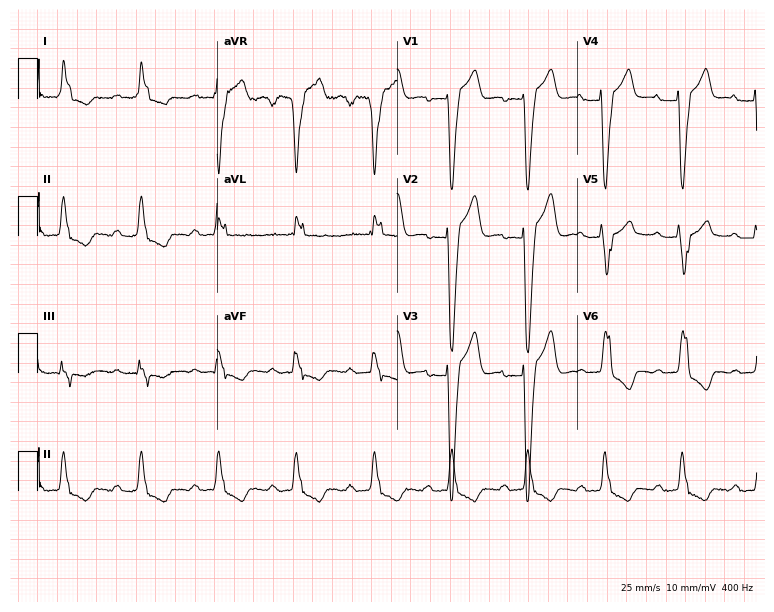
Standard 12-lead ECG recorded from a female patient, 60 years old. The tracing shows first-degree AV block, left bundle branch block.